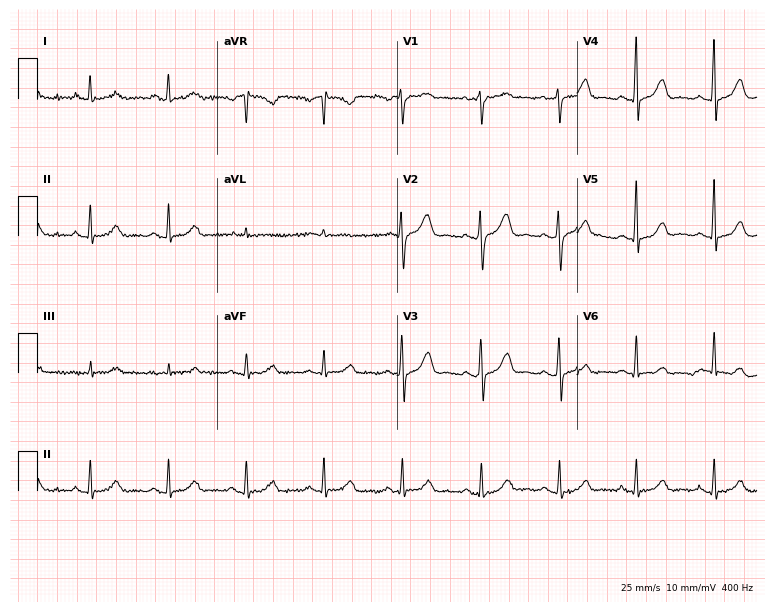
12-lead ECG (7.3-second recording at 400 Hz) from a female patient, 51 years old. Labelled as a normal ECG.